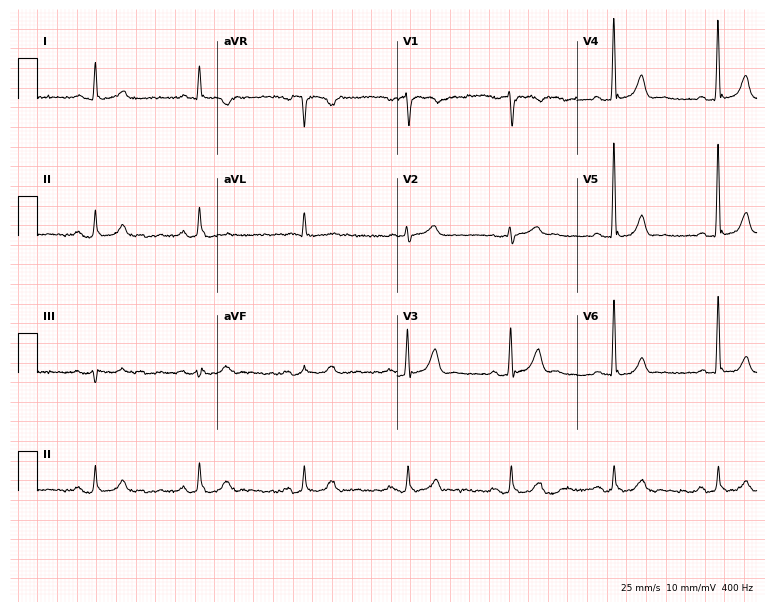
ECG (7.3-second recording at 400 Hz) — a 69-year-old man. Screened for six findings — first-degree AV block, right bundle branch block (RBBB), left bundle branch block (LBBB), sinus bradycardia, atrial fibrillation (AF), sinus tachycardia — none is recorded. Other findings, if any, are not listed.